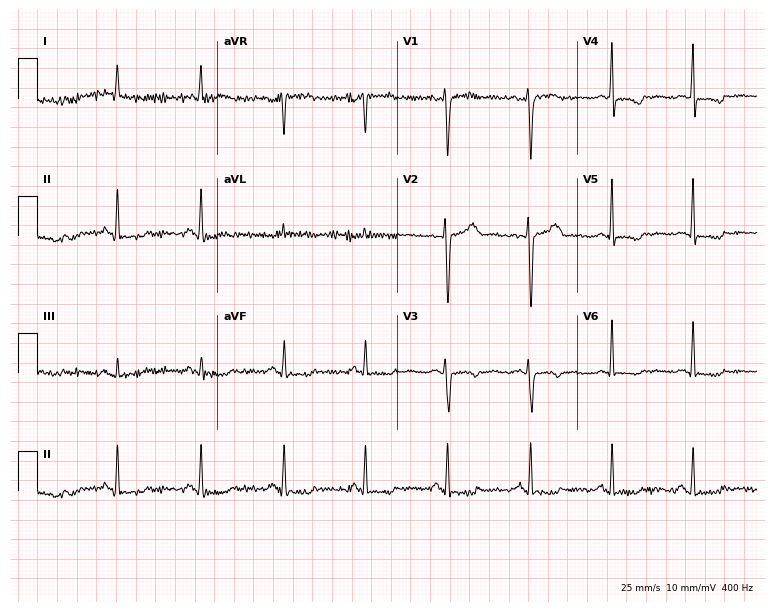
Electrocardiogram (7.3-second recording at 400 Hz), a 48-year-old female. Of the six screened findings (first-degree AV block, right bundle branch block (RBBB), left bundle branch block (LBBB), sinus bradycardia, atrial fibrillation (AF), sinus tachycardia), none is recorded. Findings outside these six are not listed.